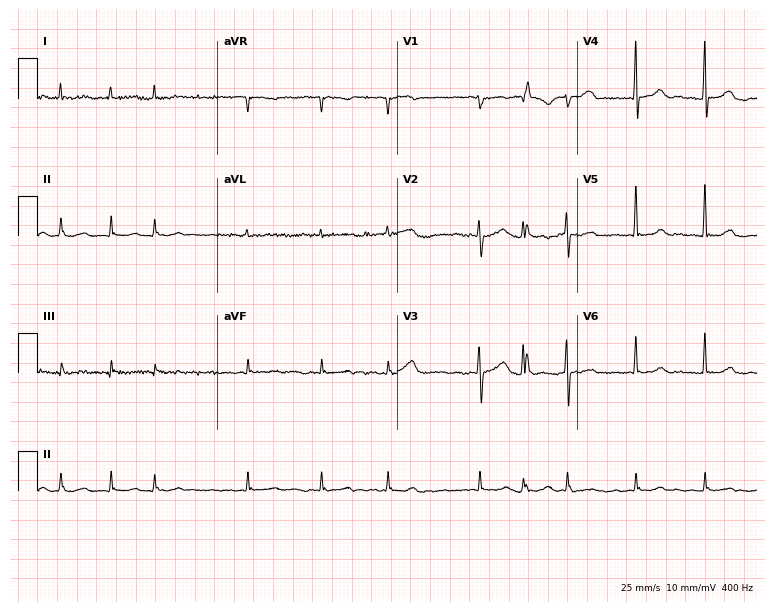
Electrocardiogram (7.3-second recording at 400 Hz), an 84-year-old woman. Interpretation includes atrial fibrillation.